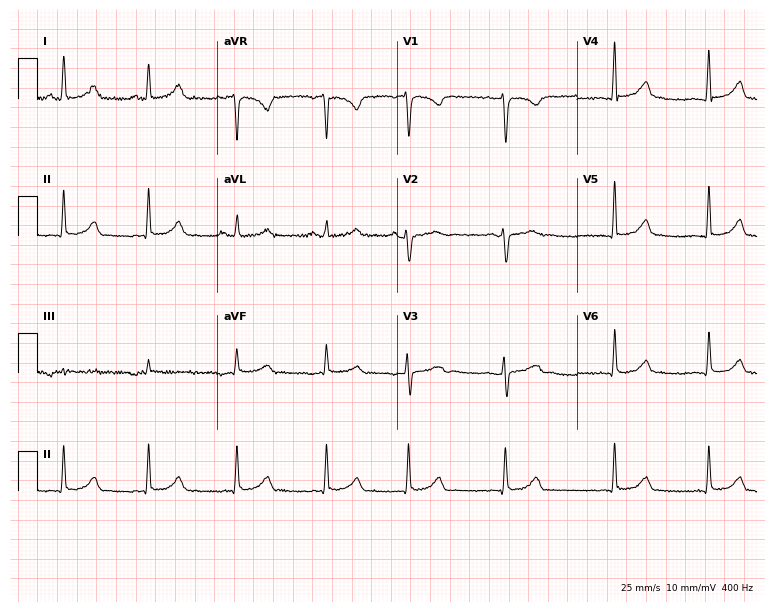
12-lead ECG from a female patient, 24 years old. Screened for six findings — first-degree AV block, right bundle branch block, left bundle branch block, sinus bradycardia, atrial fibrillation, sinus tachycardia — none is recorded.